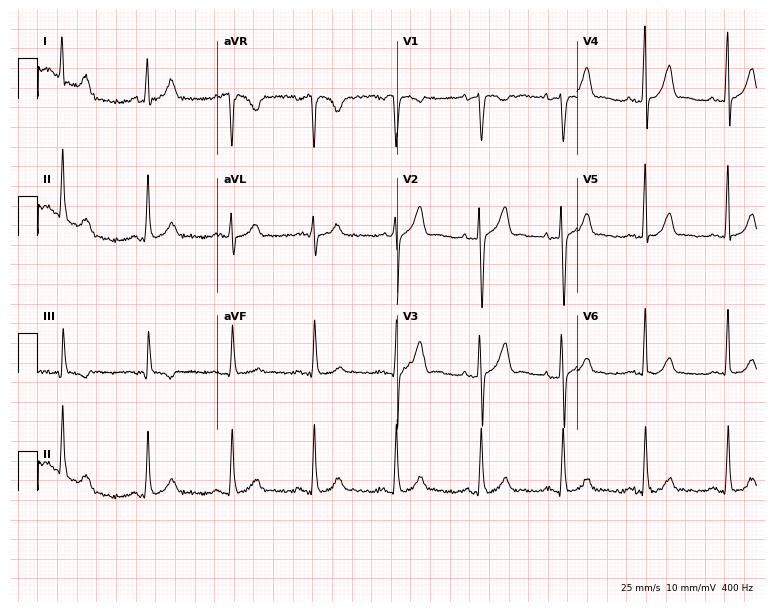
12-lead ECG from a female, 34 years old (7.3-second recording at 400 Hz). No first-degree AV block, right bundle branch block, left bundle branch block, sinus bradycardia, atrial fibrillation or sinus tachycardia recorded for this tracing.